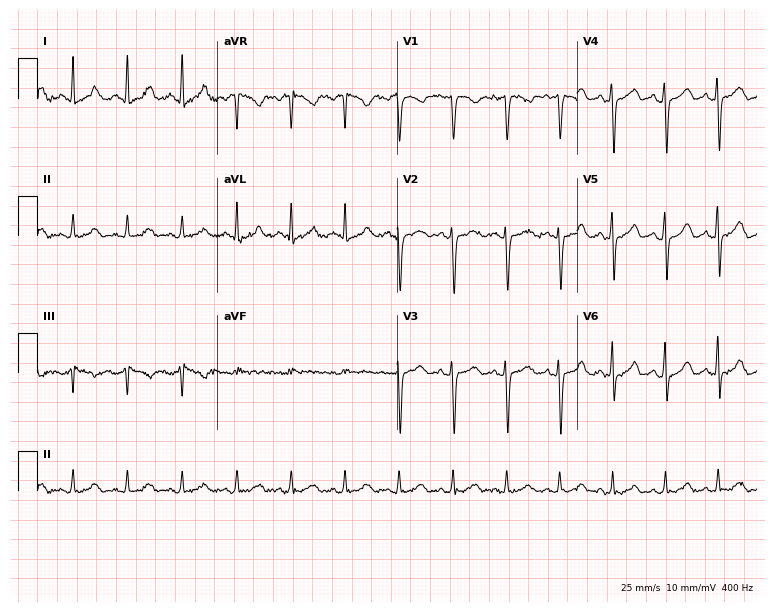
Resting 12-lead electrocardiogram (7.3-second recording at 400 Hz). Patient: a female, 38 years old. The tracing shows sinus tachycardia (a sinus rate of 100 beats per minute or more).